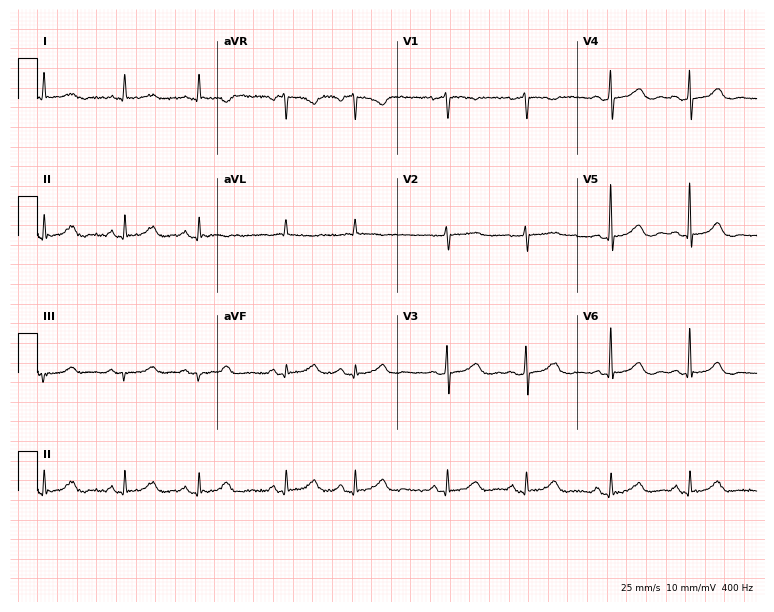
Electrocardiogram, a female, 52 years old. Of the six screened findings (first-degree AV block, right bundle branch block, left bundle branch block, sinus bradycardia, atrial fibrillation, sinus tachycardia), none is recorded. Other findings, if any, are not listed.